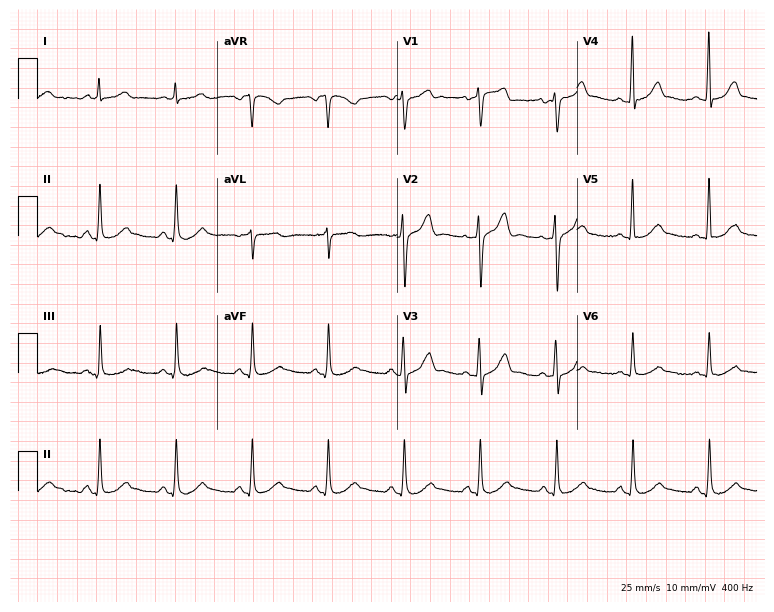
12-lead ECG from a male, 53 years old (7.3-second recording at 400 Hz). No first-degree AV block, right bundle branch block, left bundle branch block, sinus bradycardia, atrial fibrillation or sinus tachycardia recorded for this tracing. Only these six findings were labelled.